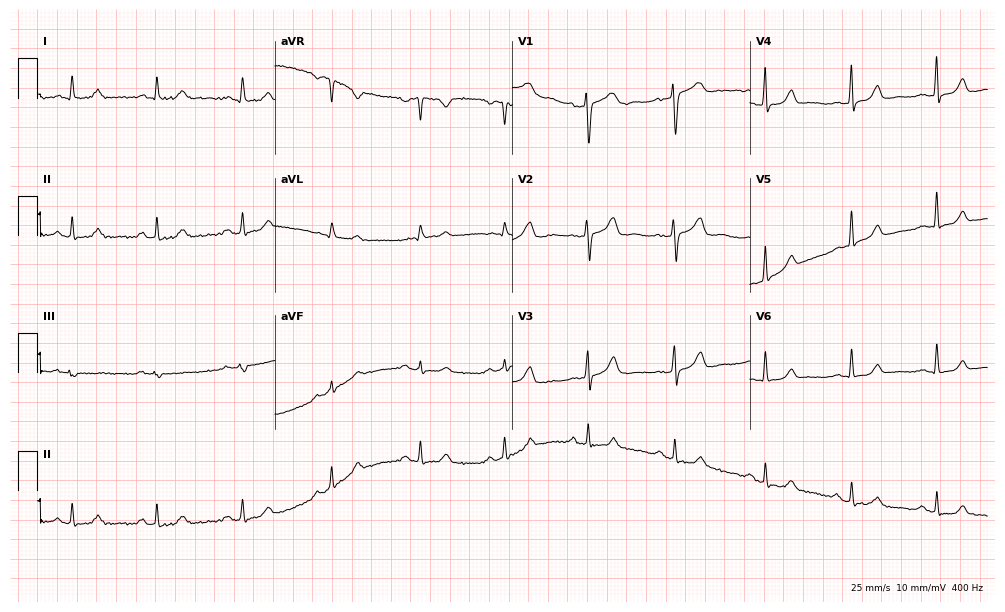
12-lead ECG from a 40-year-old female (9.7-second recording at 400 Hz). Recorded interpretation: within normal limits.